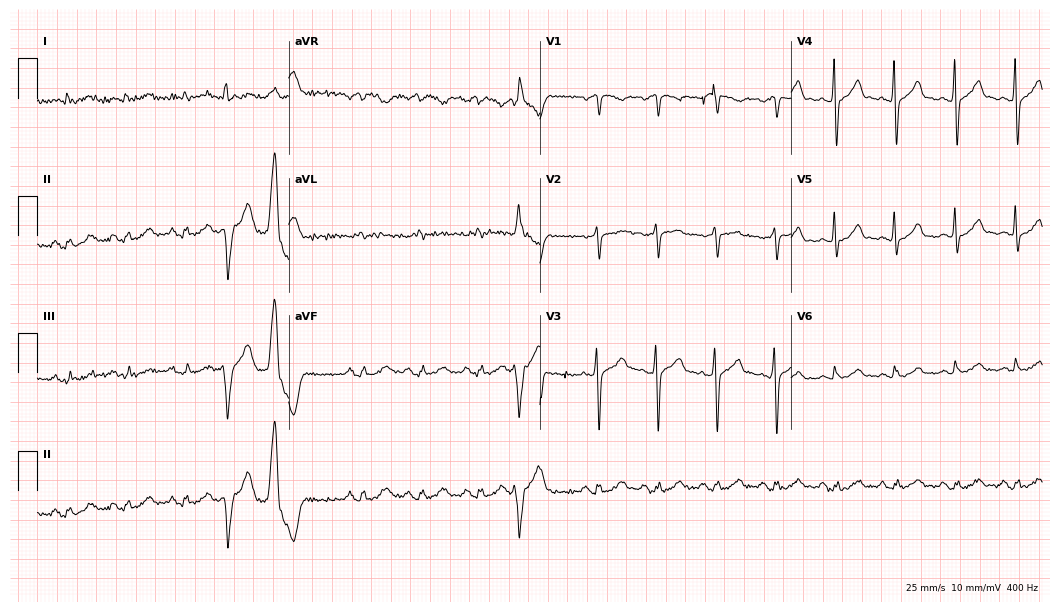
Standard 12-lead ECG recorded from a 75-year-old male. None of these six findings is recorded: first-degree AV block, right bundle branch block (RBBB), left bundle branch block (LBBB), sinus bradycardia, atrial fibrillation (AF), sinus tachycardia.